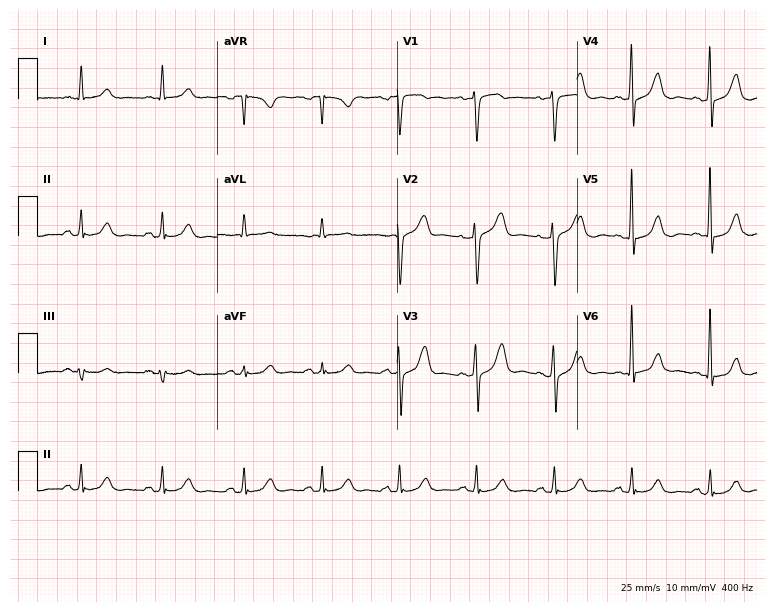
12-lead ECG from a 68-year-old man. Recorded interpretation: within normal limits.